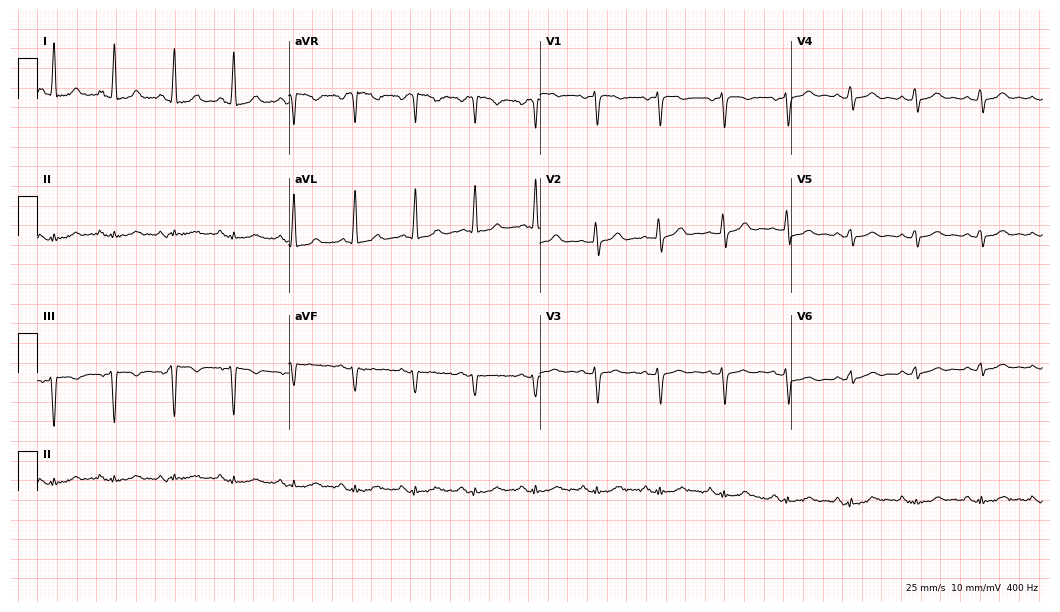
Electrocardiogram (10.2-second recording at 400 Hz), a woman, 61 years old. Of the six screened findings (first-degree AV block, right bundle branch block, left bundle branch block, sinus bradycardia, atrial fibrillation, sinus tachycardia), none is recorded.